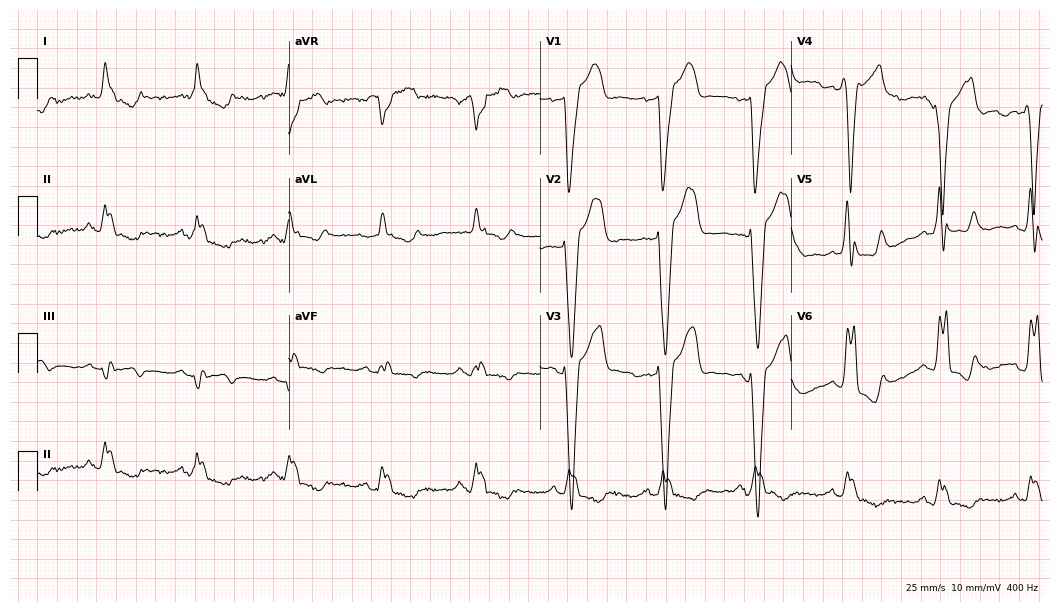
12-lead ECG from a male, 78 years old (10.2-second recording at 400 Hz). Shows left bundle branch block.